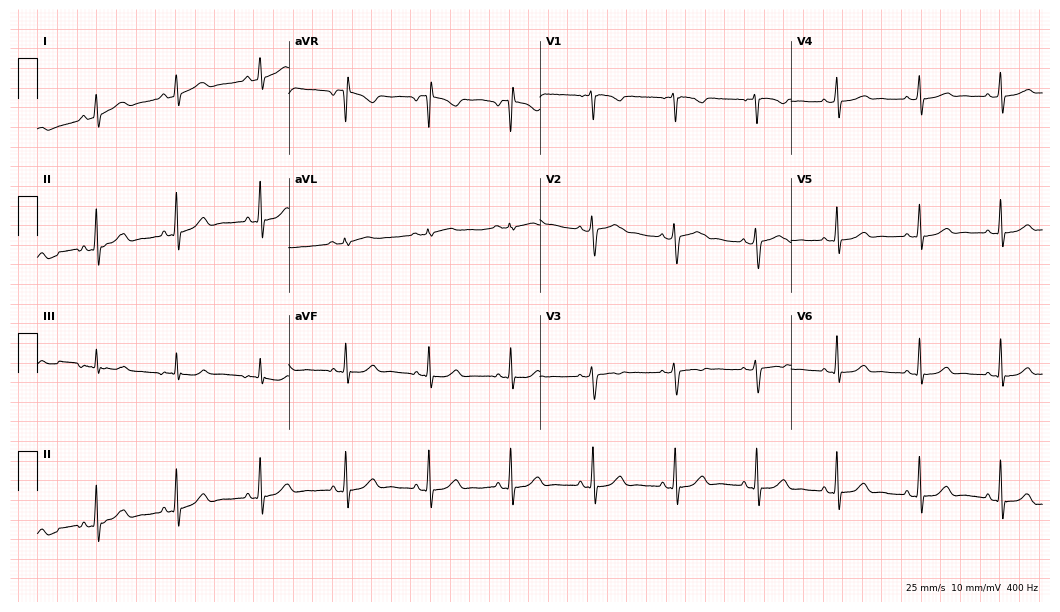
Electrocardiogram (10.2-second recording at 400 Hz), a female, 28 years old. Overall reading on record: normal ECG.